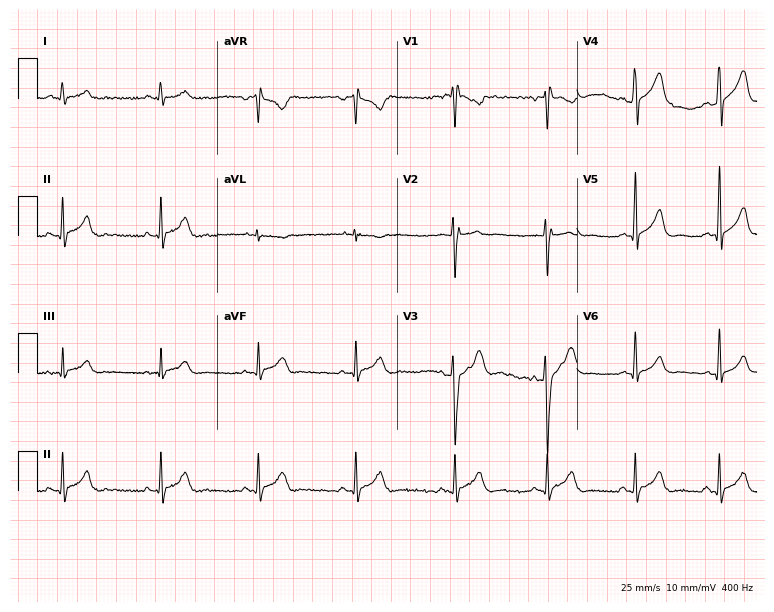
12-lead ECG (7.3-second recording at 400 Hz) from a male, 19 years old. Screened for six findings — first-degree AV block, right bundle branch block, left bundle branch block, sinus bradycardia, atrial fibrillation, sinus tachycardia — none is recorded.